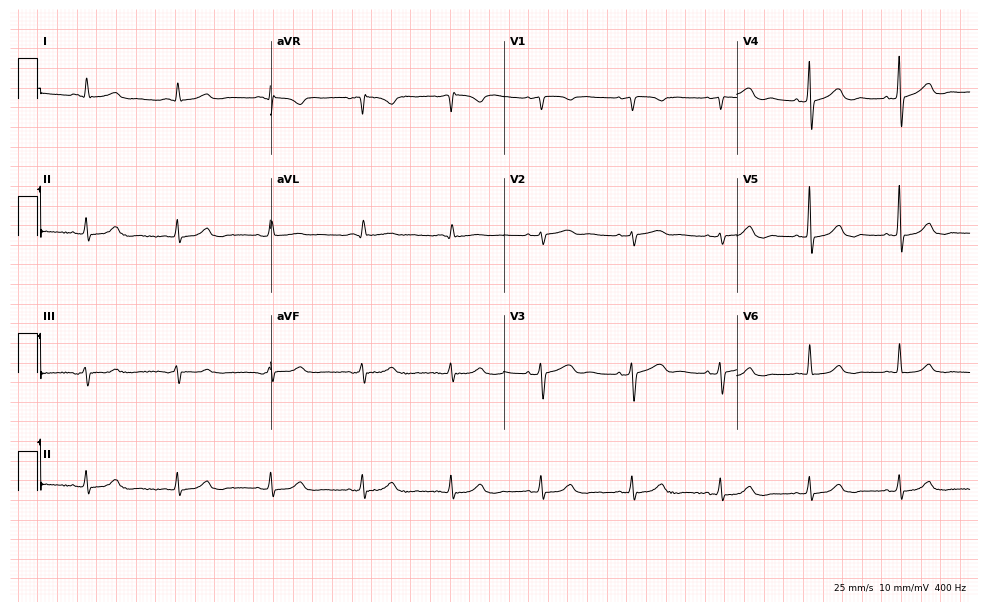
ECG — a 65-year-old female. Labelled as a normal ECG.